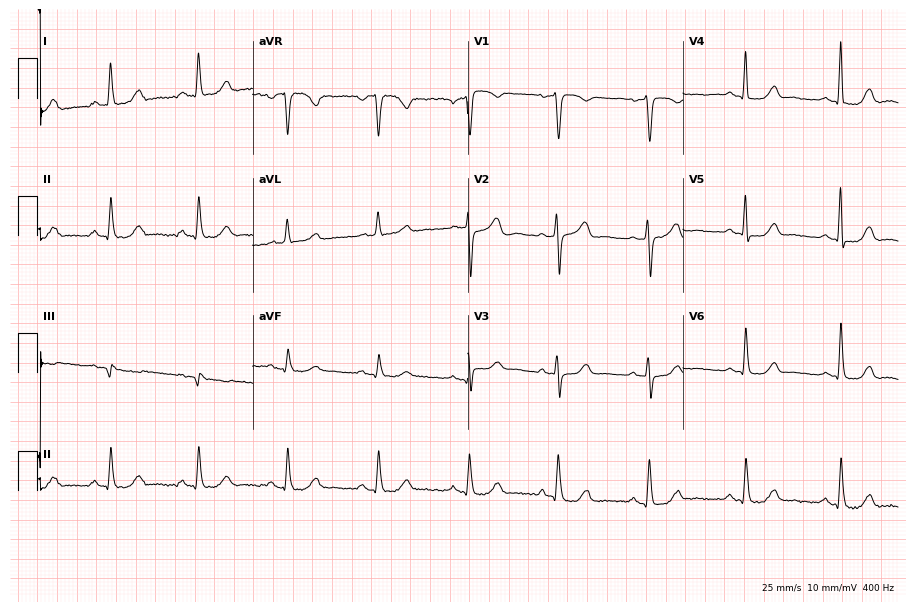
Resting 12-lead electrocardiogram (8.8-second recording at 400 Hz). Patient: a 58-year-old female. Read as a normal ECG.